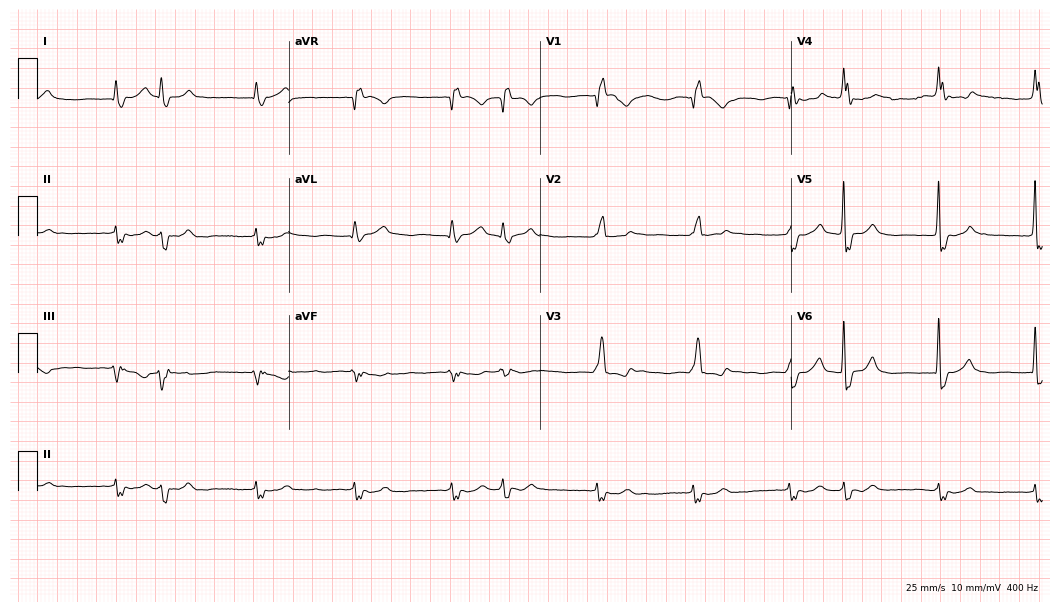
12-lead ECG from a man, 65 years old (10.2-second recording at 400 Hz). Shows right bundle branch block (RBBB), atrial fibrillation (AF).